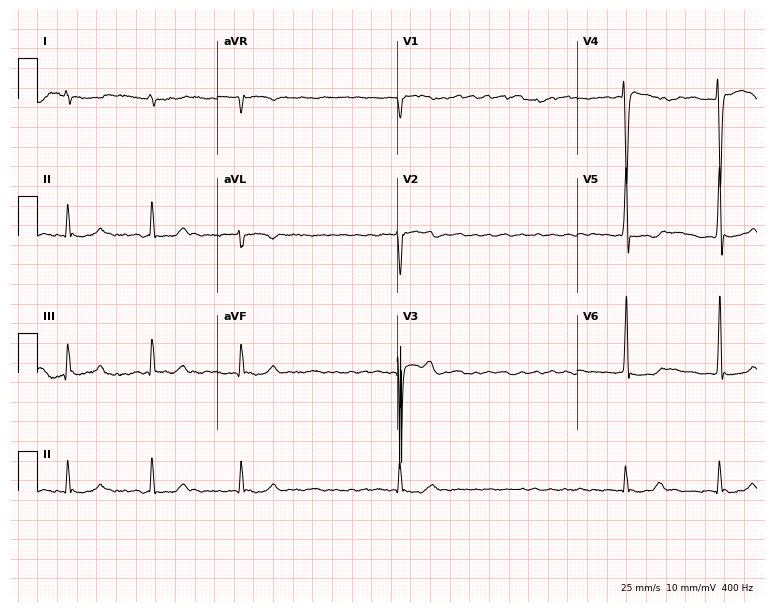
ECG (7.3-second recording at 400 Hz) — a male, 70 years old. Findings include atrial fibrillation.